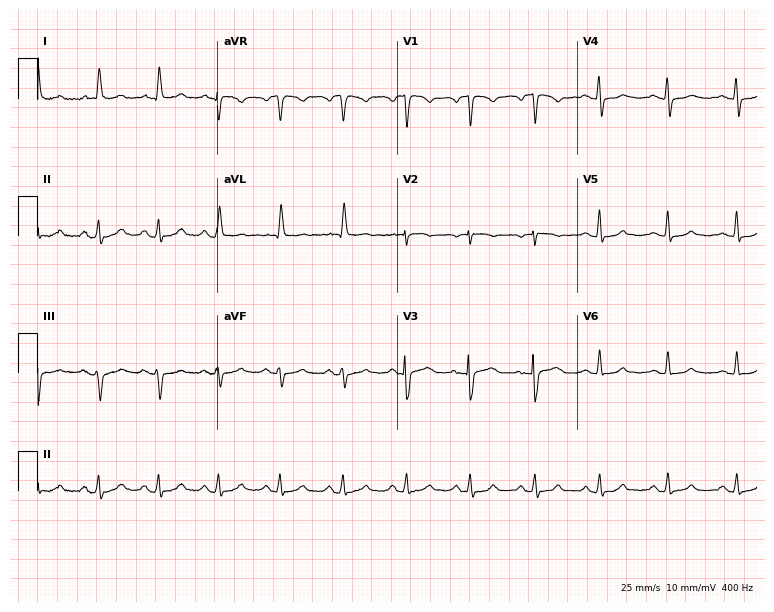
Resting 12-lead electrocardiogram (7.3-second recording at 400 Hz). Patient: a woman, 79 years old. None of these six findings is recorded: first-degree AV block, right bundle branch block (RBBB), left bundle branch block (LBBB), sinus bradycardia, atrial fibrillation (AF), sinus tachycardia. Other findings, if any, are not listed.